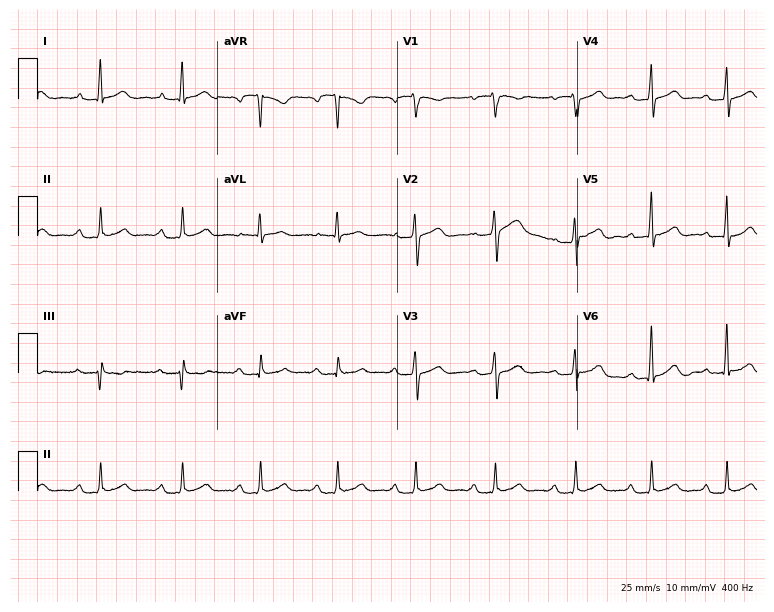
ECG (7.3-second recording at 400 Hz) — a female, 40 years old. Screened for six findings — first-degree AV block, right bundle branch block (RBBB), left bundle branch block (LBBB), sinus bradycardia, atrial fibrillation (AF), sinus tachycardia — none is recorded. Other findings, if any, are not listed.